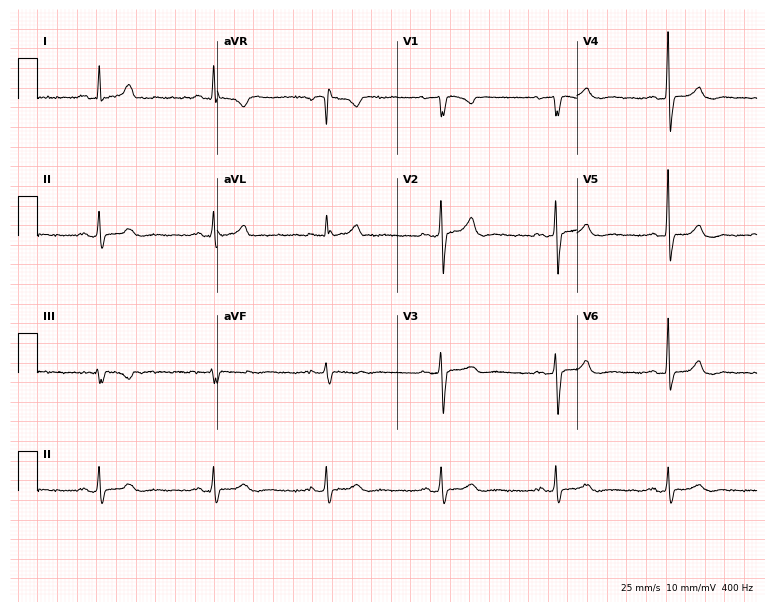
ECG (7.3-second recording at 400 Hz) — a female, 66 years old. Labelled as a normal ECG.